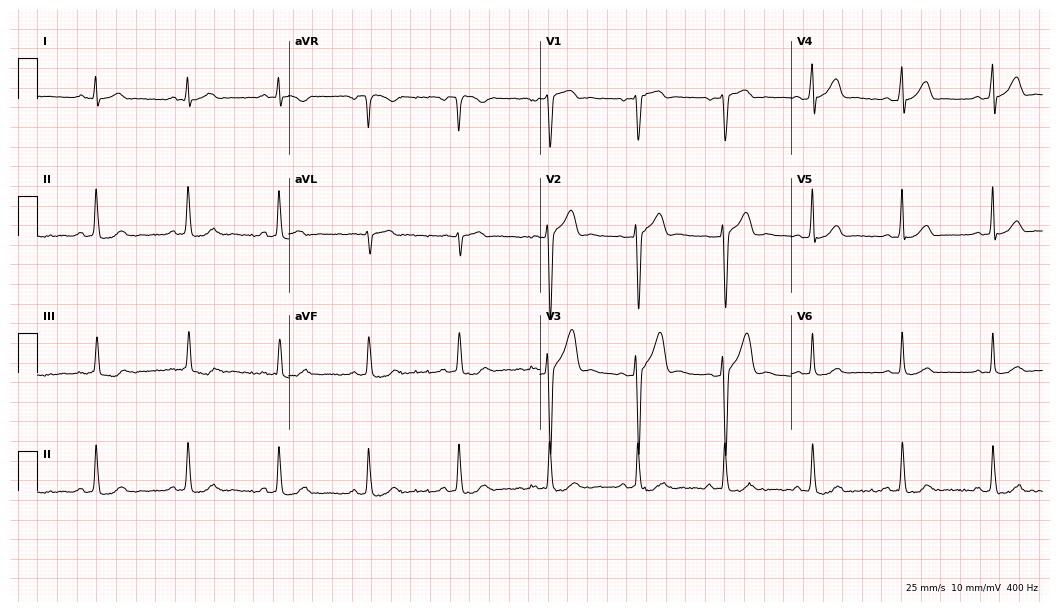
Standard 12-lead ECG recorded from a 28-year-old man (10.2-second recording at 400 Hz). None of these six findings is recorded: first-degree AV block, right bundle branch block, left bundle branch block, sinus bradycardia, atrial fibrillation, sinus tachycardia.